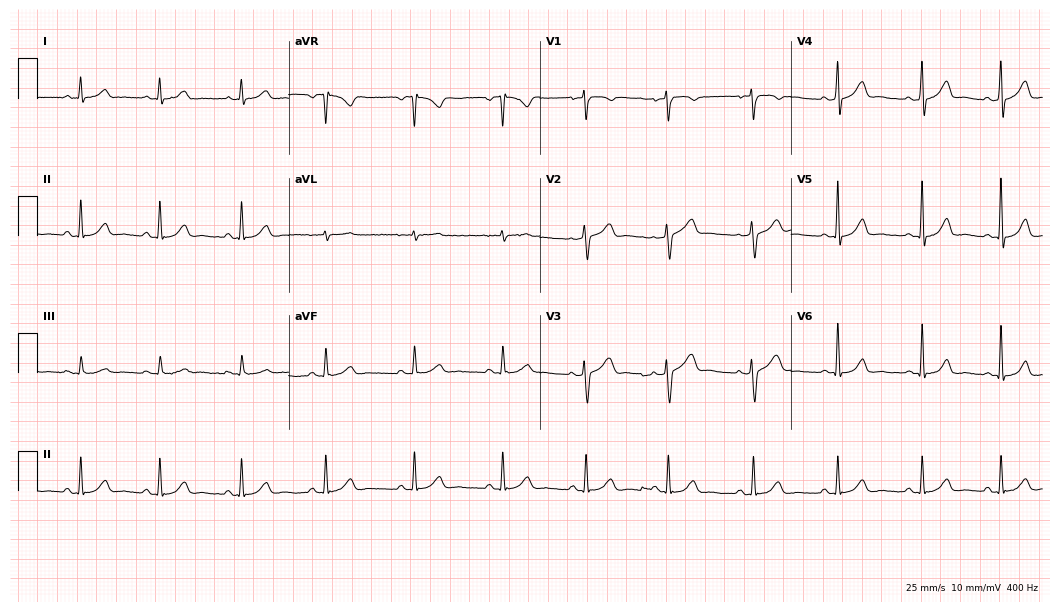
12-lead ECG from a 44-year-old female patient. Labelled as a normal ECG.